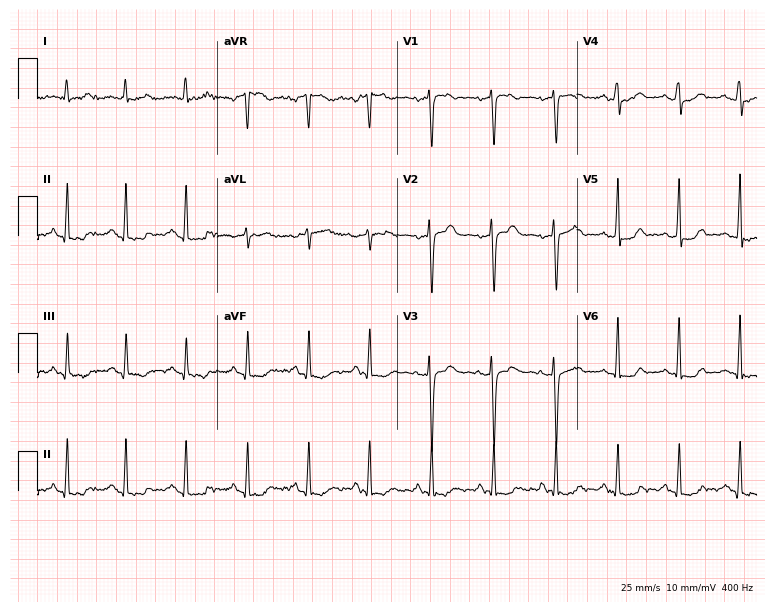
Resting 12-lead electrocardiogram. Patient: a female, 38 years old. None of these six findings is recorded: first-degree AV block, right bundle branch block, left bundle branch block, sinus bradycardia, atrial fibrillation, sinus tachycardia.